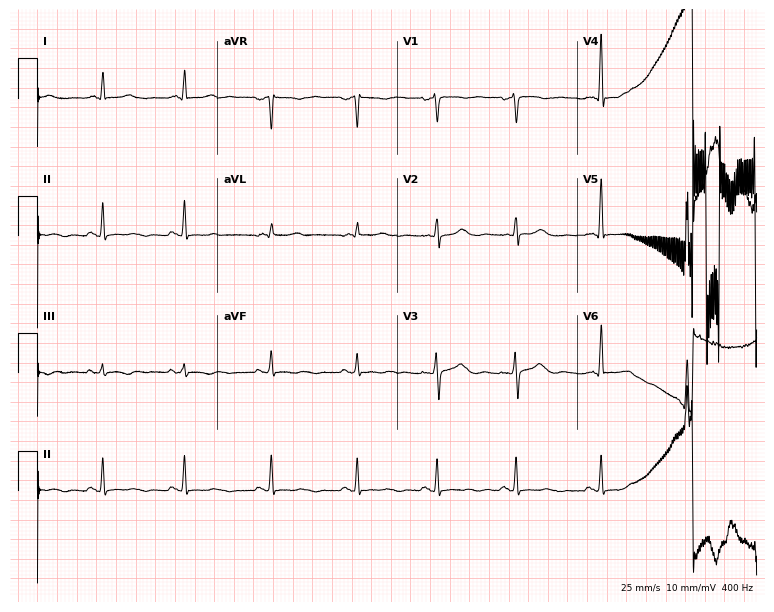
Standard 12-lead ECG recorded from a female patient, 44 years old (7.3-second recording at 400 Hz). None of these six findings is recorded: first-degree AV block, right bundle branch block, left bundle branch block, sinus bradycardia, atrial fibrillation, sinus tachycardia.